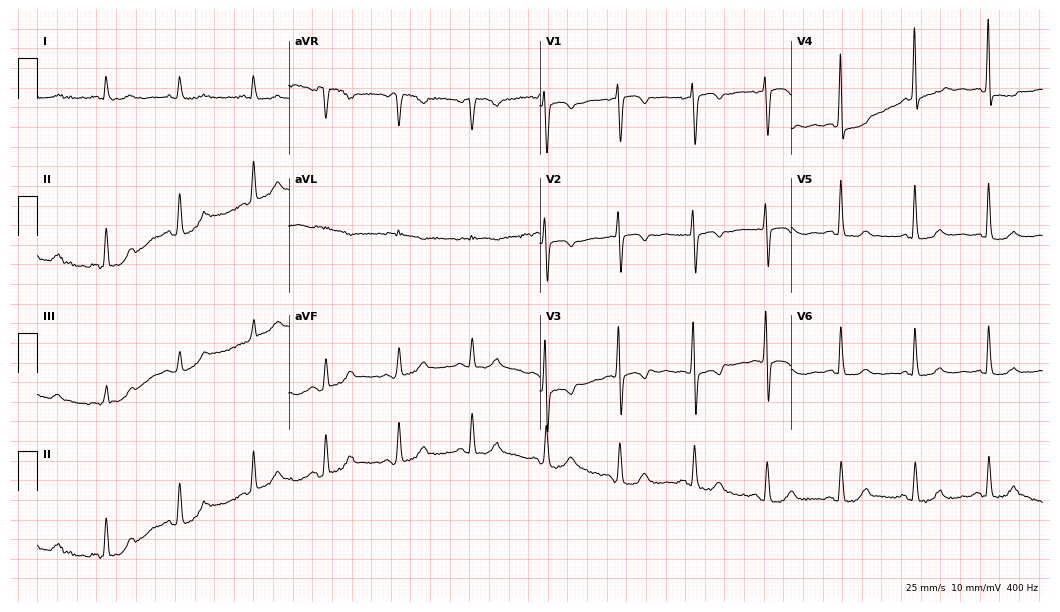
Resting 12-lead electrocardiogram. Patient: a female, 70 years old. None of these six findings is recorded: first-degree AV block, right bundle branch block (RBBB), left bundle branch block (LBBB), sinus bradycardia, atrial fibrillation (AF), sinus tachycardia. Findings outside these six are not listed.